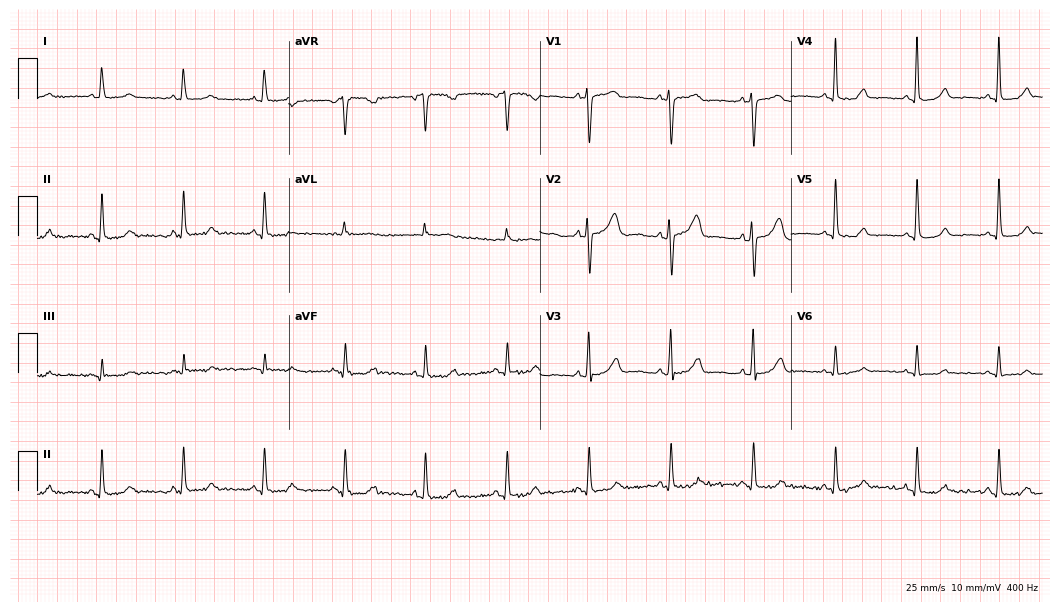
ECG — a 62-year-old female patient. Labelled as a normal ECG.